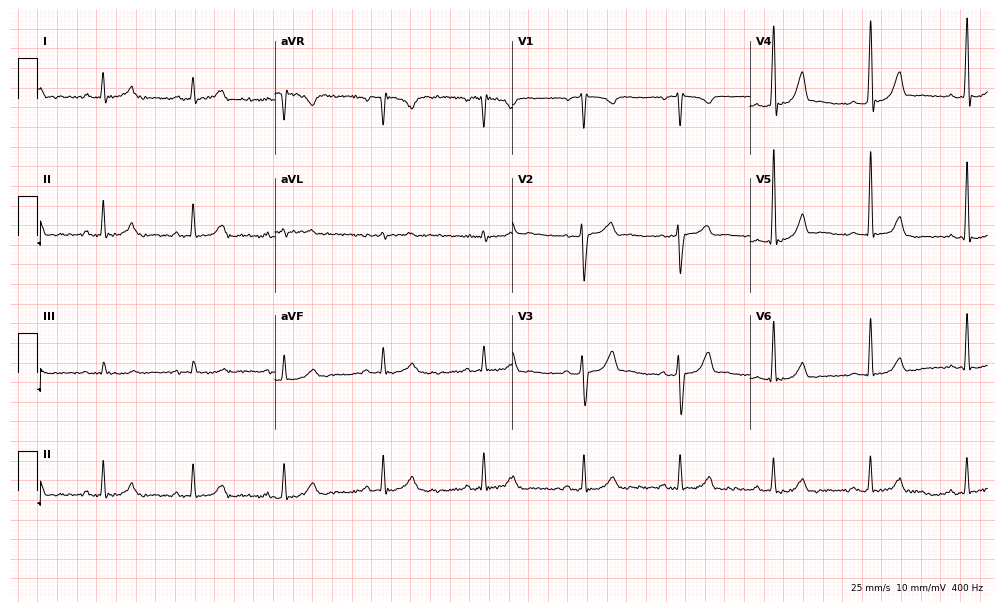
Resting 12-lead electrocardiogram. Patient: a 35-year-old male. Read as a normal ECG.